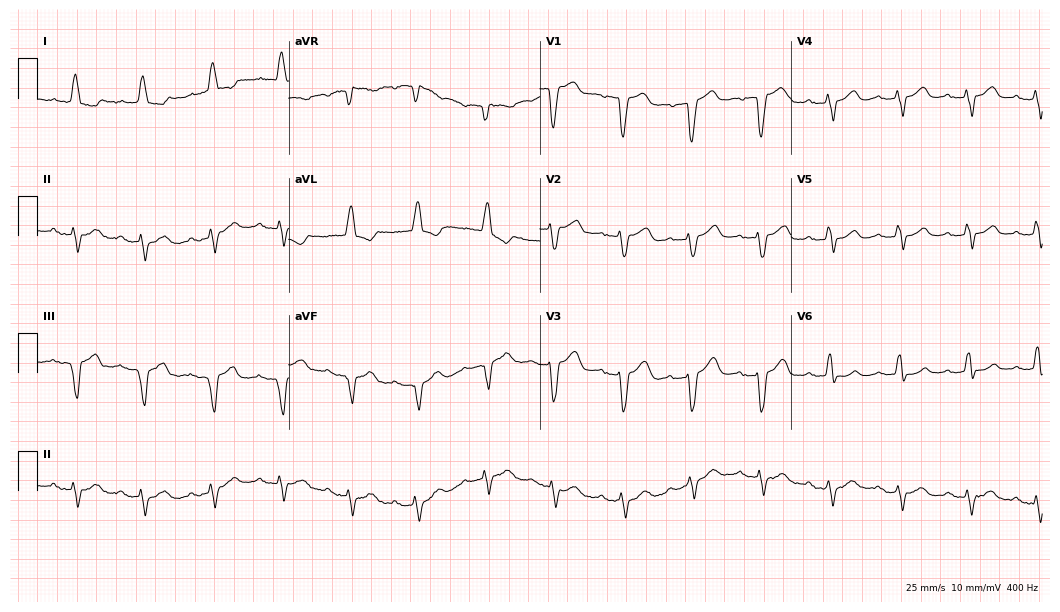
Standard 12-lead ECG recorded from a woman, 81 years old. The tracing shows first-degree AV block, left bundle branch block (LBBB).